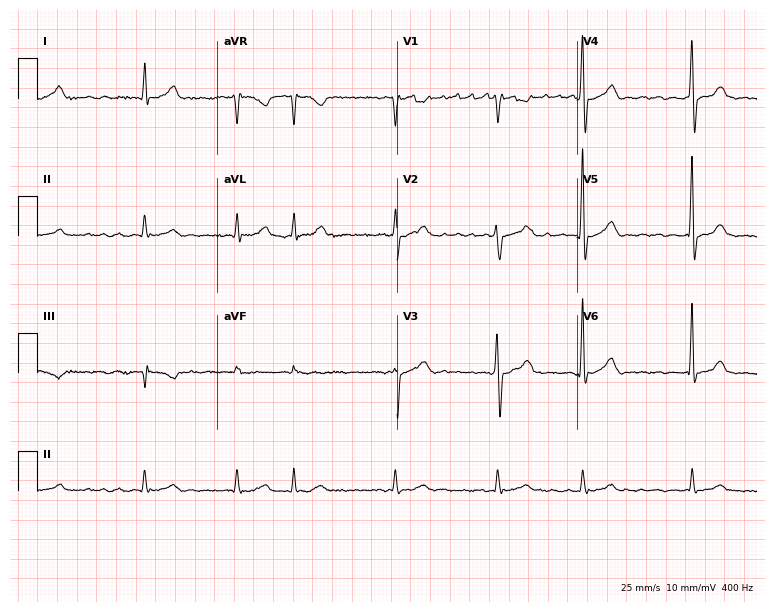
Standard 12-lead ECG recorded from a 73-year-old male patient. The tracing shows atrial fibrillation (AF).